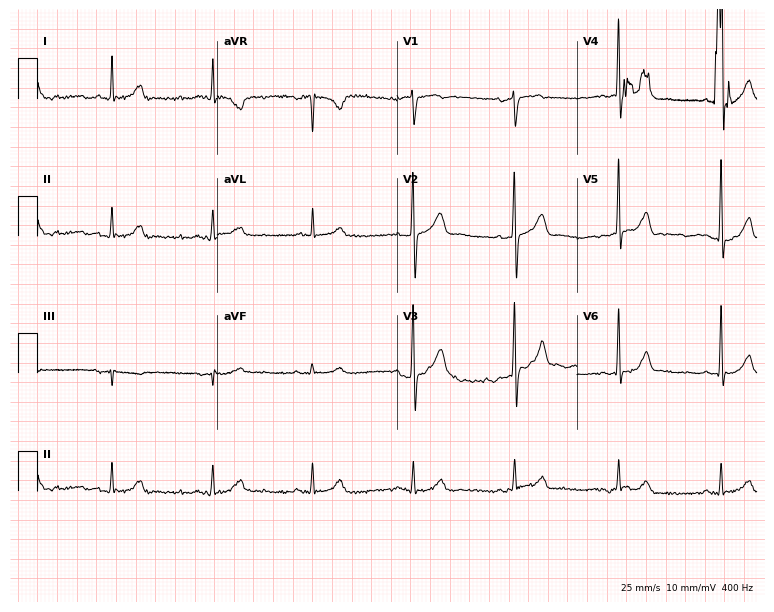
Standard 12-lead ECG recorded from a 58-year-old male patient (7.3-second recording at 400 Hz). Read as a normal ECG.